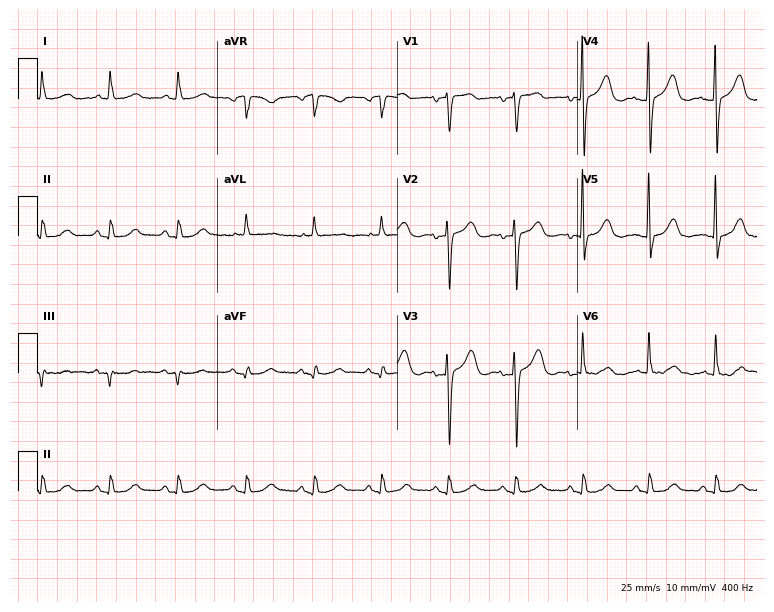
Electrocardiogram (7.3-second recording at 400 Hz), an 85-year-old woman. Overall reading on record: normal ECG.